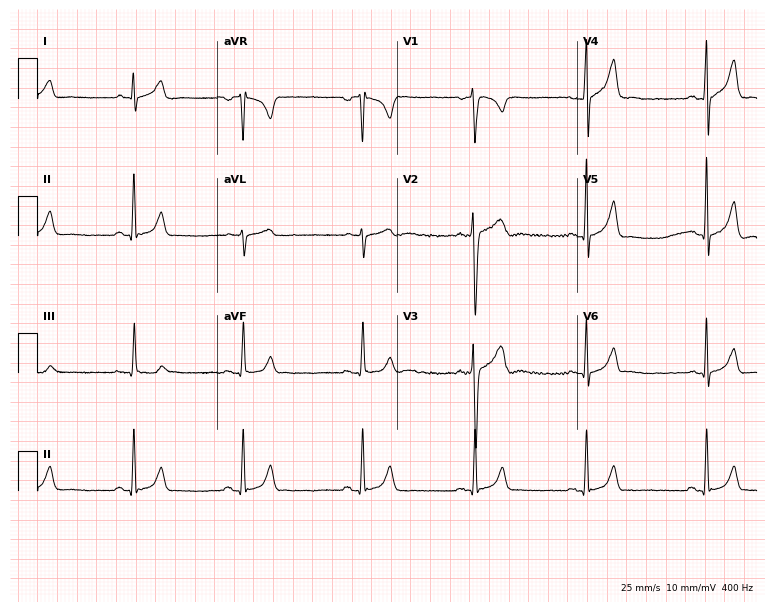
Resting 12-lead electrocardiogram. Patient: a 36-year-old male. Read as a normal ECG.